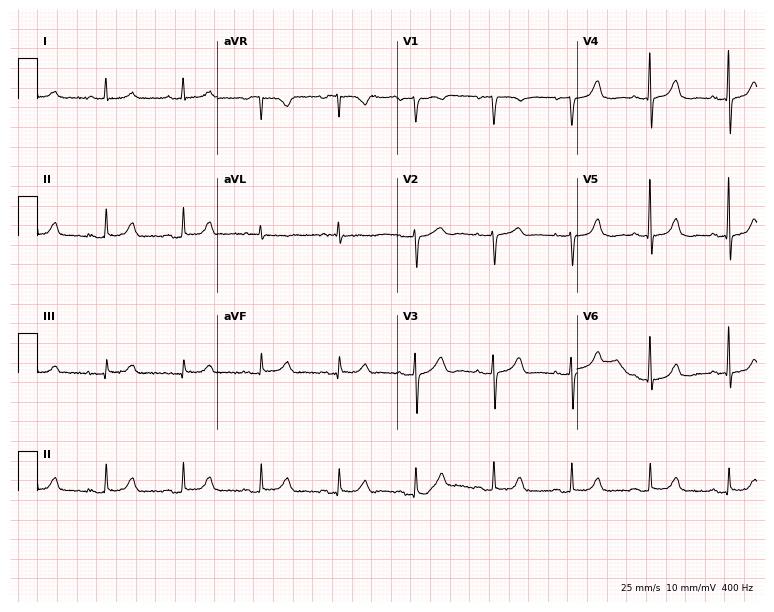
12-lead ECG (7.3-second recording at 400 Hz) from an 80-year-old woman. Labelled as a normal ECG.